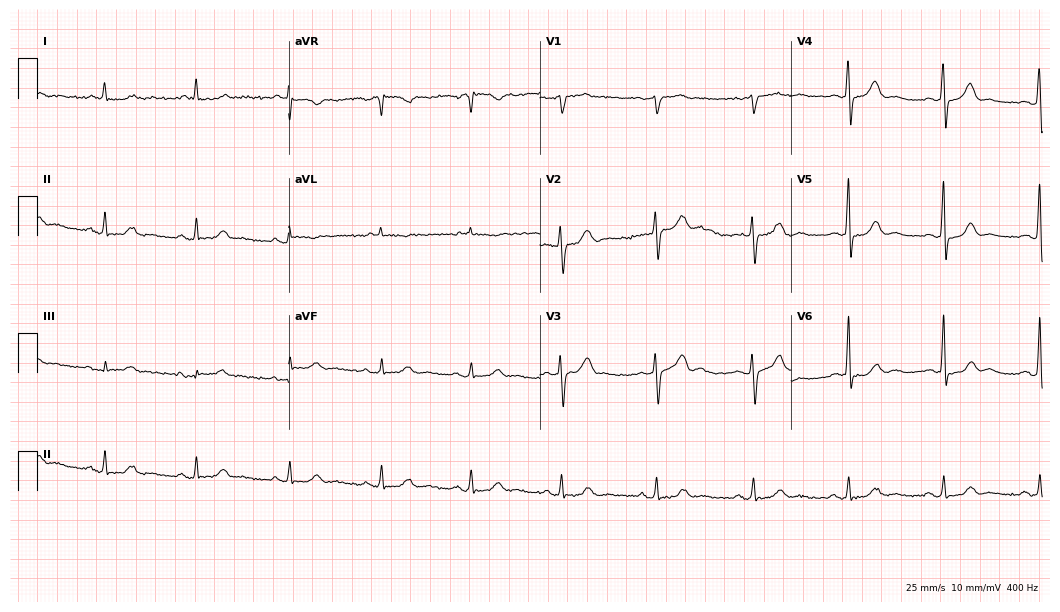
Standard 12-lead ECG recorded from a 62-year-old man. Read as a normal ECG.